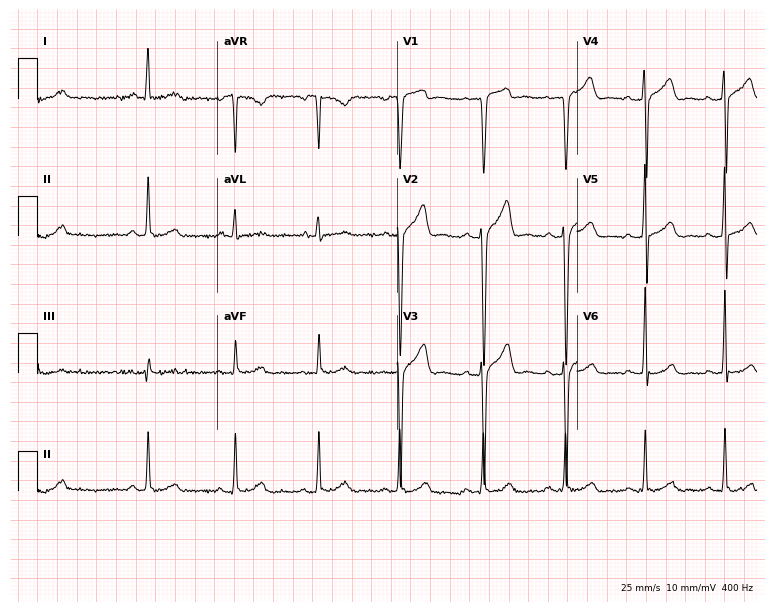
12-lead ECG from a male patient, 28 years old (7.3-second recording at 400 Hz). Recorded interpretation: within normal limits.